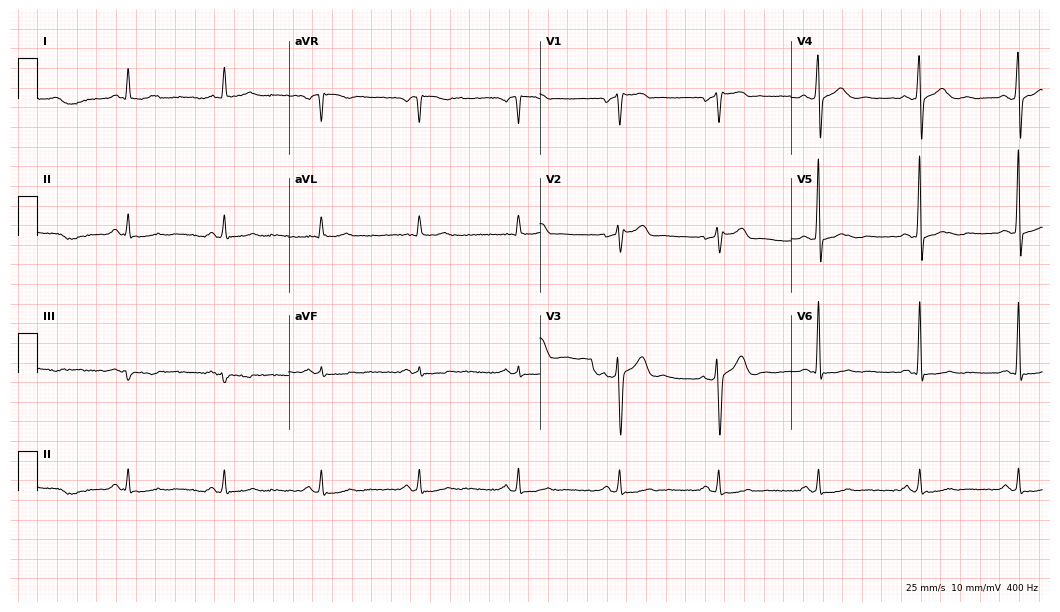
ECG (10.2-second recording at 400 Hz) — a male patient, 54 years old. Labelled as a normal ECG.